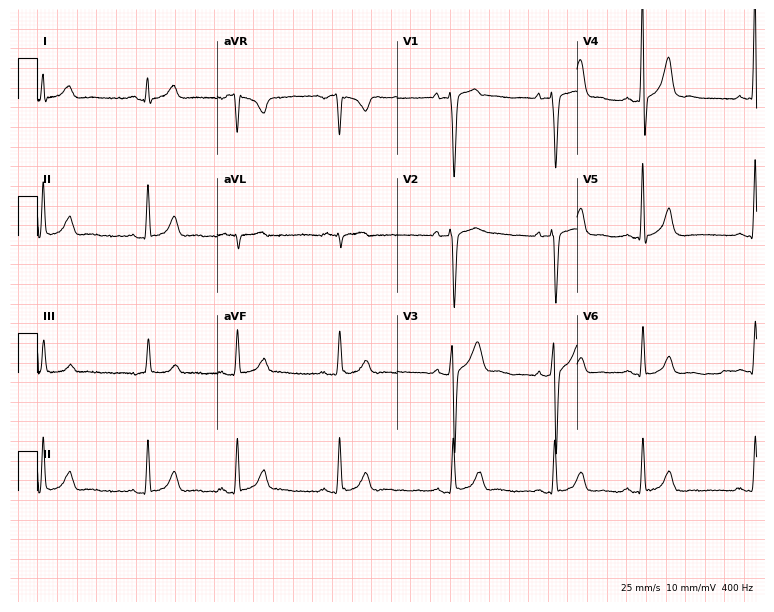
12-lead ECG from a 19-year-old male (7.3-second recording at 400 Hz). Recorded interpretation: within normal limits.